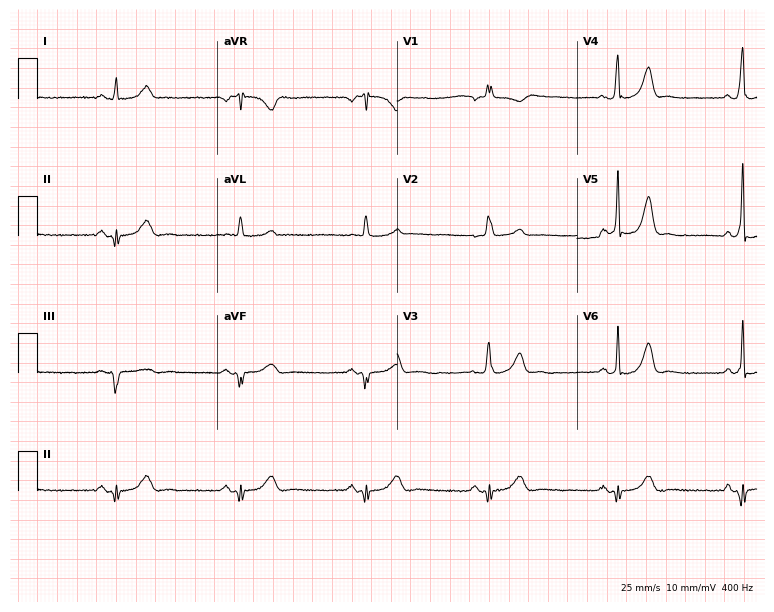
ECG — a 59-year-old female. Screened for six findings — first-degree AV block, right bundle branch block (RBBB), left bundle branch block (LBBB), sinus bradycardia, atrial fibrillation (AF), sinus tachycardia — none is recorded.